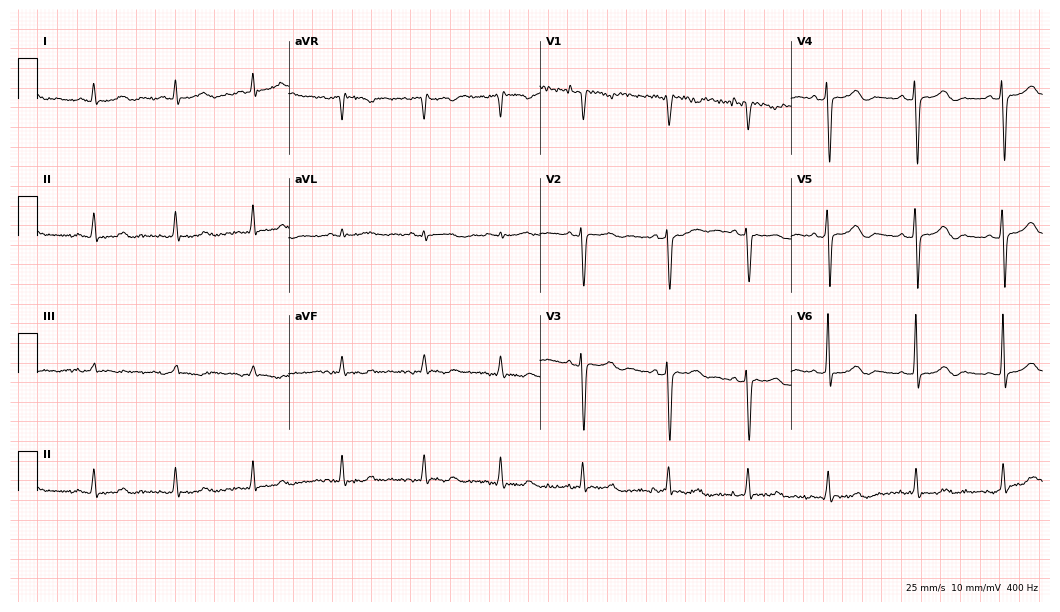
Electrocardiogram, a woman, 66 years old. Overall reading on record: normal ECG.